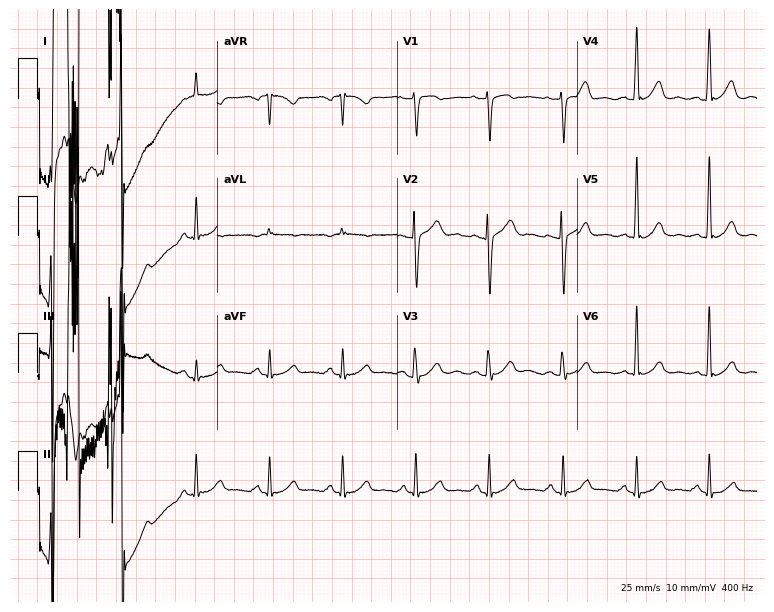
12-lead ECG from a male, 65 years old (7.3-second recording at 400 Hz). Recorded interpretation: within normal limits.